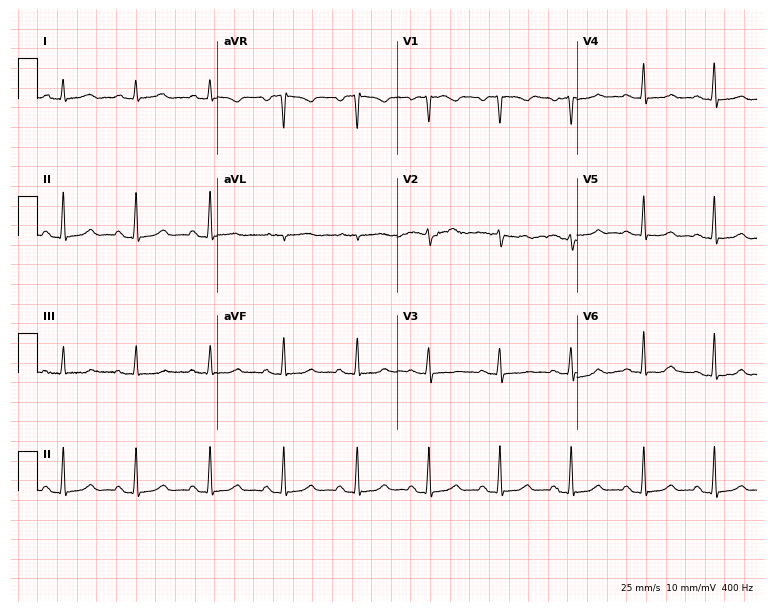
12-lead ECG (7.3-second recording at 400 Hz) from a female, 44 years old. Screened for six findings — first-degree AV block, right bundle branch block, left bundle branch block, sinus bradycardia, atrial fibrillation, sinus tachycardia — none is recorded. Only these six findings were labelled.